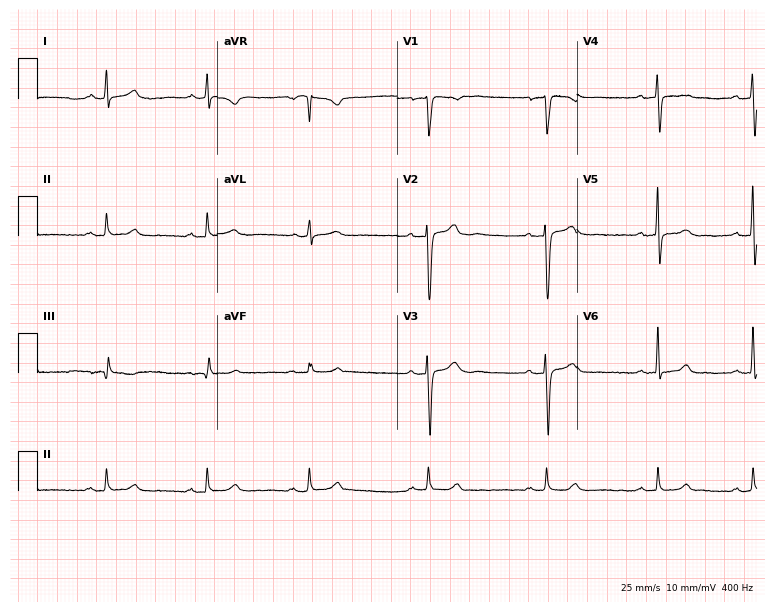
Resting 12-lead electrocardiogram (7.3-second recording at 400 Hz). Patient: a 44-year-old male. Read as a normal ECG.